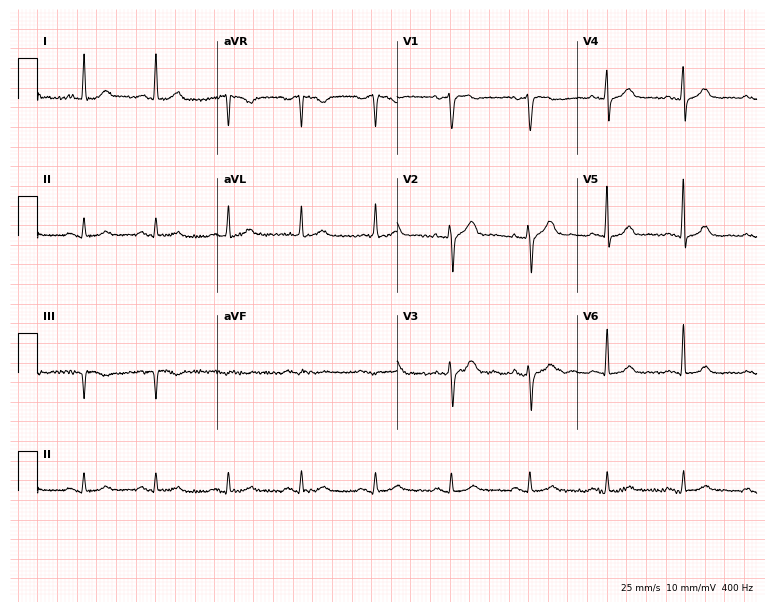
12-lead ECG from an 80-year-old male (7.3-second recording at 400 Hz). Recorded interpretation: within normal limits.